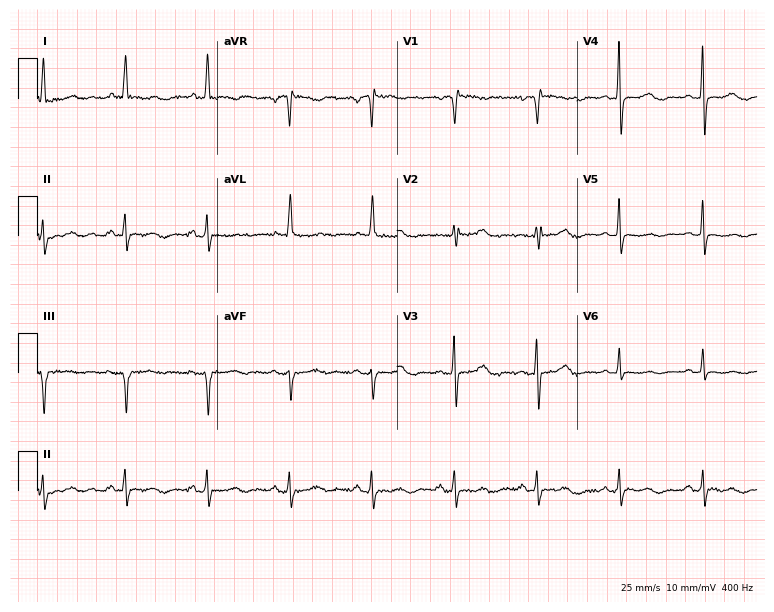
ECG (7.3-second recording at 400 Hz) — a 67-year-old female. Screened for six findings — first-degree AV block, right bundle branch block (RBBB), left bundle branch block (LBBB), sinus bradycardia, atrial fibrillation (AF), sinus tachycardia — none is recorded.